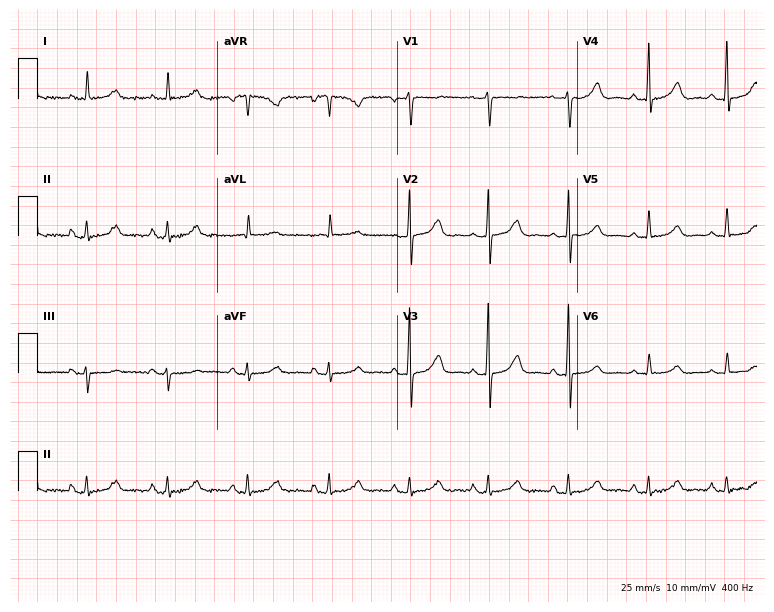
Standard 12-lead ECG recorded from a 69-year-old female patient. Read as a normal ECG.